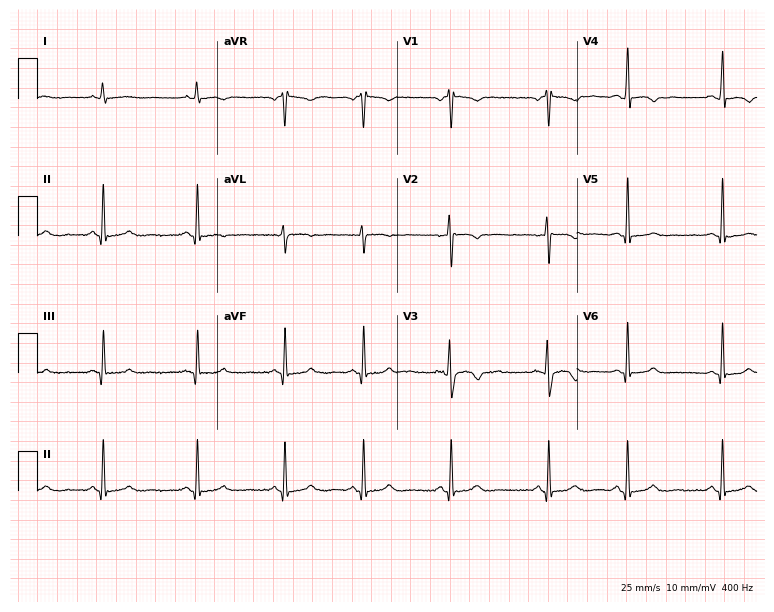
12-lead ECG from a female, 18 years old. Screened for six findings — first-degree AV block, right bundle branch block, left bundle branch block, sinus bradycardia, atrial fibrillation, sinus tachycardia — none is recorded.